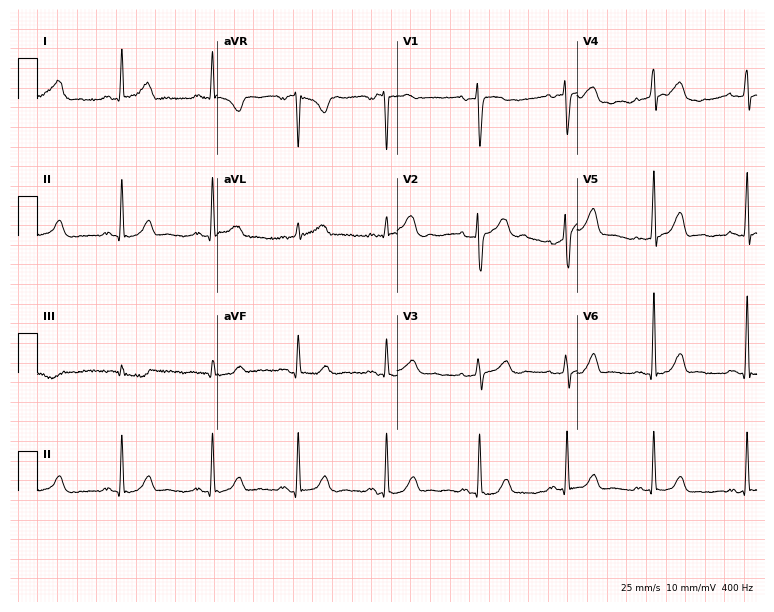
ECG (7.3-second recording at 400 Hz) — a 47-year-old female. Screened for six findings — first-degree AV block, right bundle branch block (RBBB), left bundle branch block (LBBB), sinus bradycardia, atrial fibrillation (AF), sinus tachycardia — none is recorded.